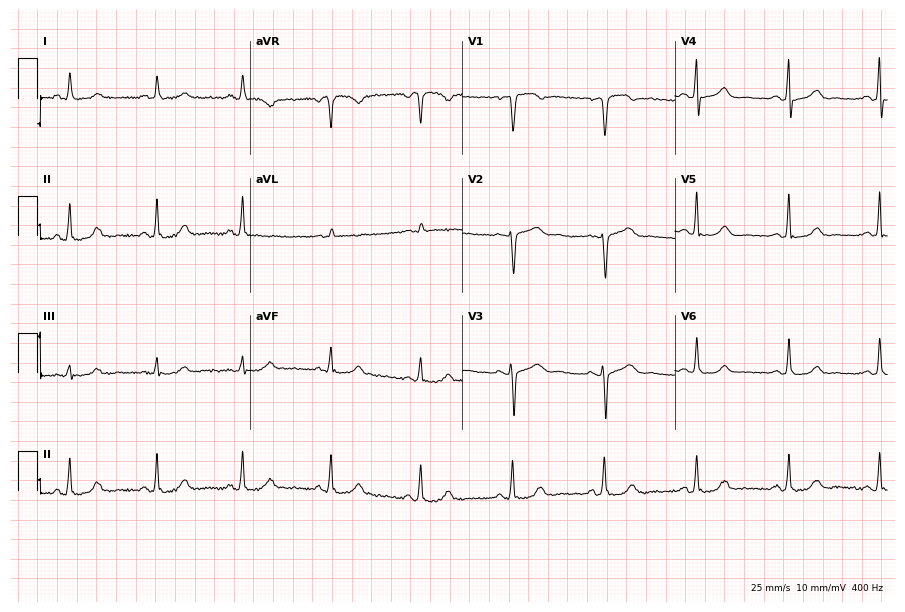
12-lead ECG from a female patient, 61 years old. No first-degree AV block, right bundle branch block (RBBB), left bundle branch block (LBBB), sinus bradycardia, atrial fibrillation (AF) or sinus tachycardia recorded for this tracing. Only these six findings were labelled.